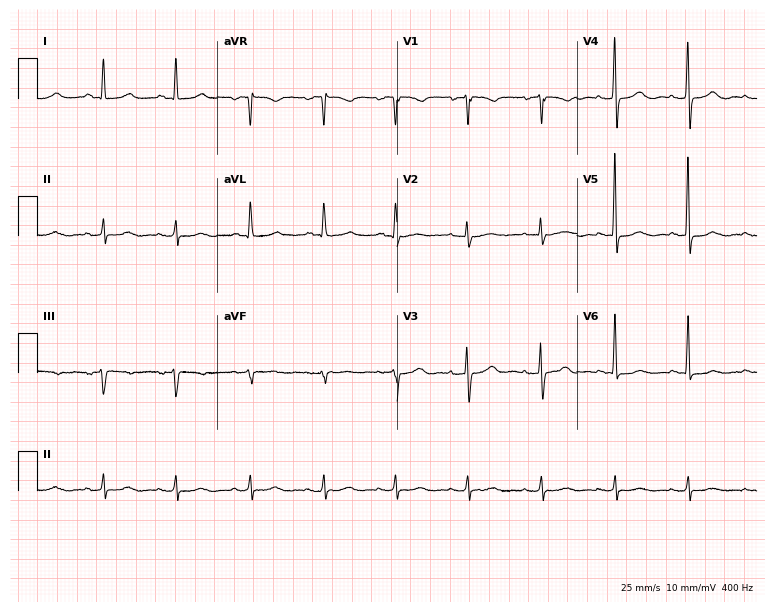
Electrocardiogram (7.3-second recording at 400 Hz), a female patient, 74 years old. Of the six screened findings (first-degree AV block, right bundle branch block, left bundle branch block, sinus bradycardia, atrial fibrillation, sinus tachycardia), none is recorded. Findings outside these six are not listed.